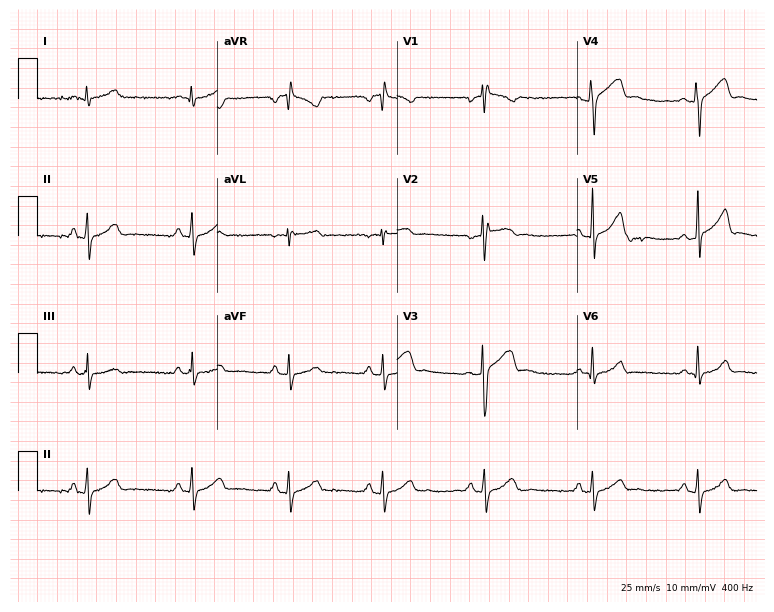
12-lead ECG from a female patient, 27 years old. No first-degree AV block, right bundle branch block, left bundle branch block, sinus bradycardia, atrial fibrillation or sinus tachycardia recorded for this tracing.